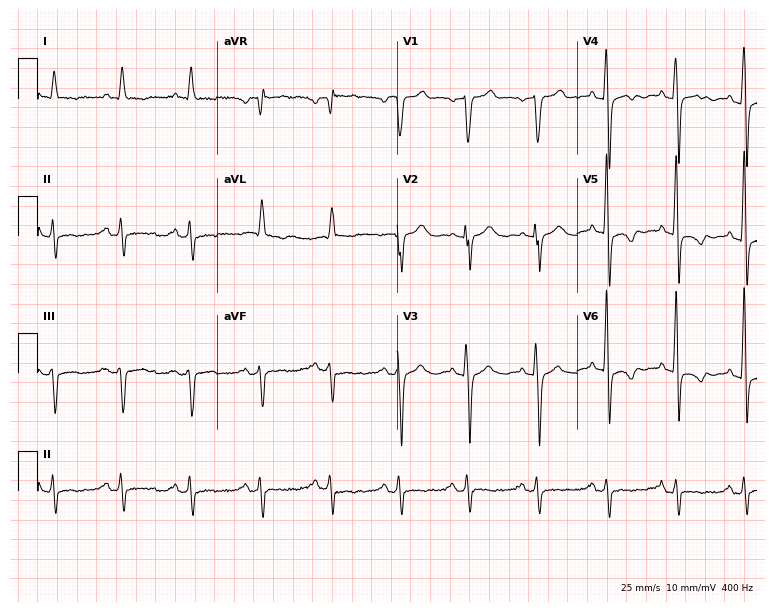
Standard 12-lead ECG recorded from an 80-year-old male. None of these six findings is recorded: first-degree AV block, right bundle branch block, left bundle branch block, sinus bradycardia, atrial fibrillation, sinus tachycardia. Only these six findings were labelled.